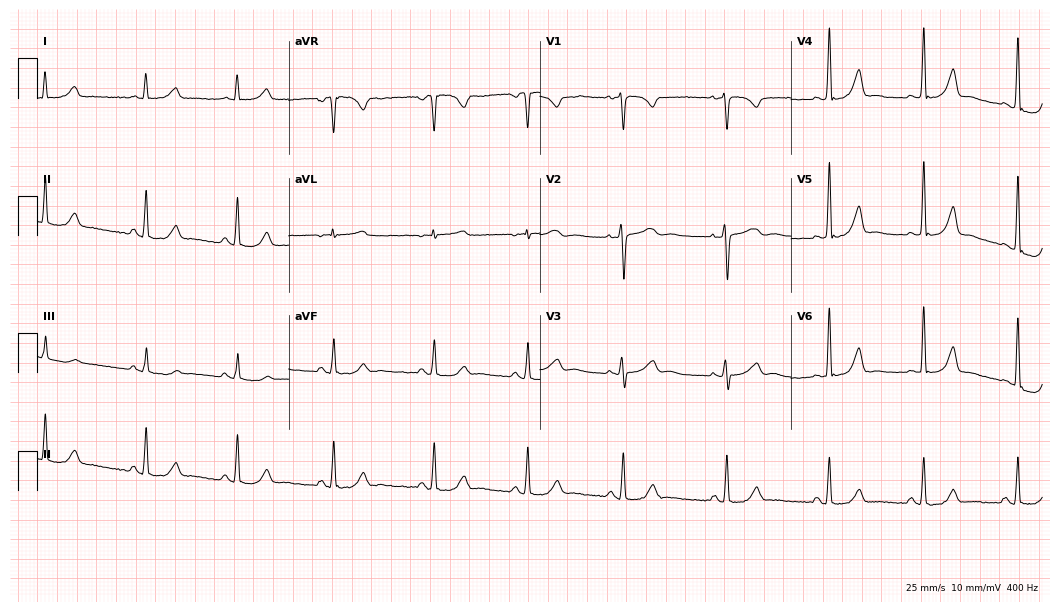
Resting 12-lead electrocardiogram (10.2-second recording at 400 Hz). Patient: a 48-year-old woman. None of these six findings is recorded: first-degree AV block, right bundle branch block, left bundle branch block, sinus bradycardia, atrial fibrillation, sinus tachycardia. Other findings, if any, are not listed.